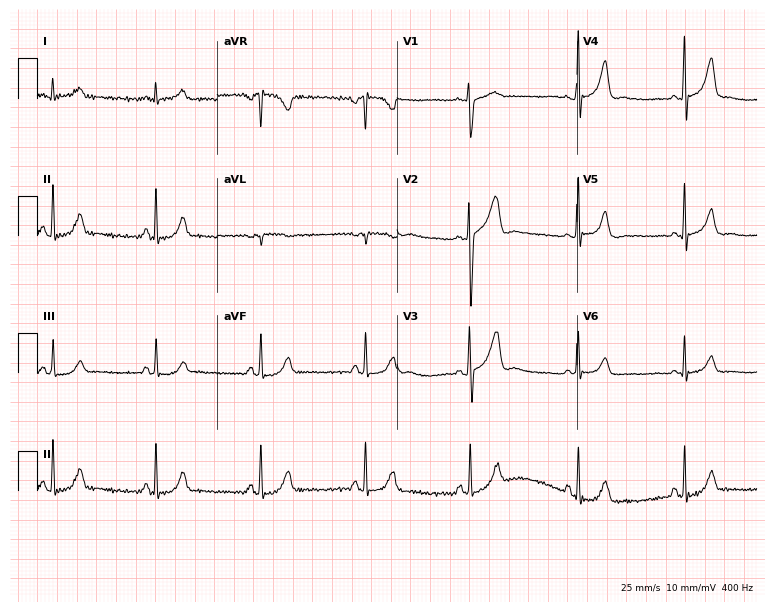
12-lead ECG (7.3-second recording at 400 Hz) from a 36-year-old male. Labelled as a normal ECG.